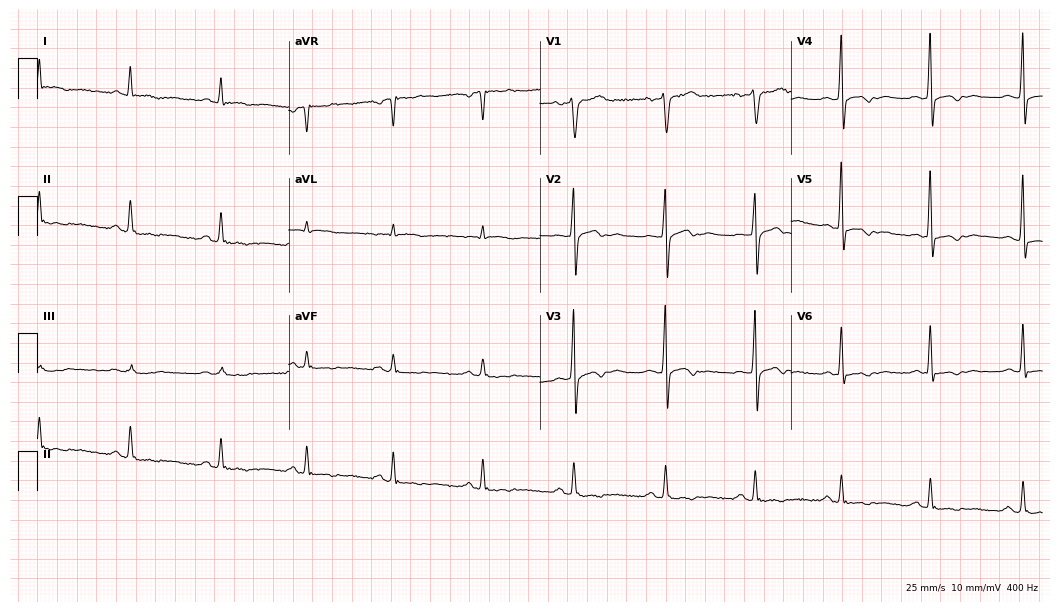
12-lead ECG from a male patient, 56 years old. Screened for six findings — first-degree AV block, right bundle branch block, left bundle branch block, sinus bradycardia, atrial fibrillation, sinus tachycardia — none is recorded.